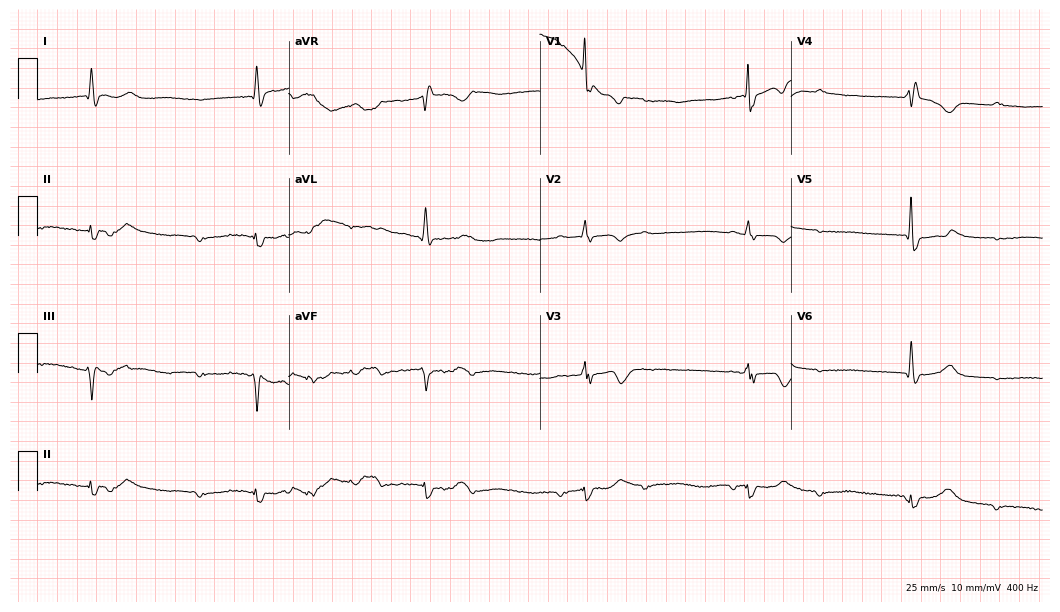
12-lead ECG from a male, 63 years old. Findings include first-degree AV block.